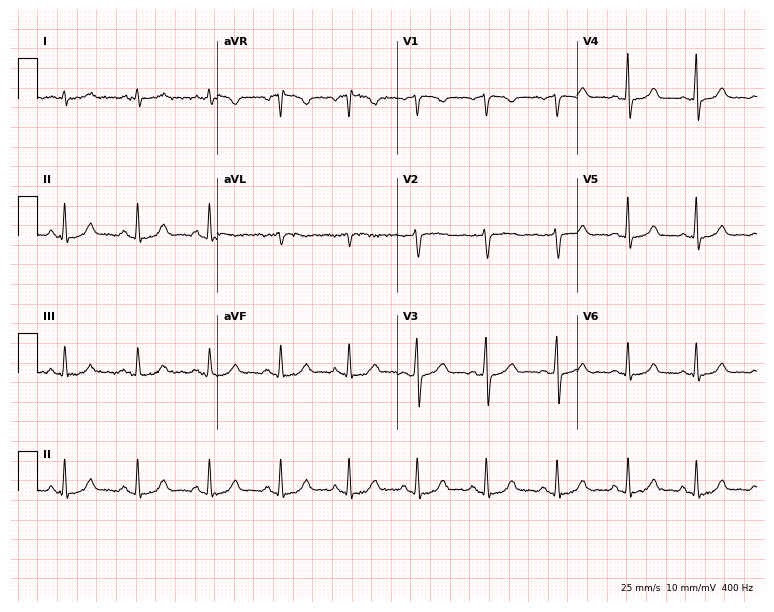
Resting 12-lead electrocardiogram (7.3-second recording at 400 Hz). Patient: a female, 33 years old. Read as a normal ECG.